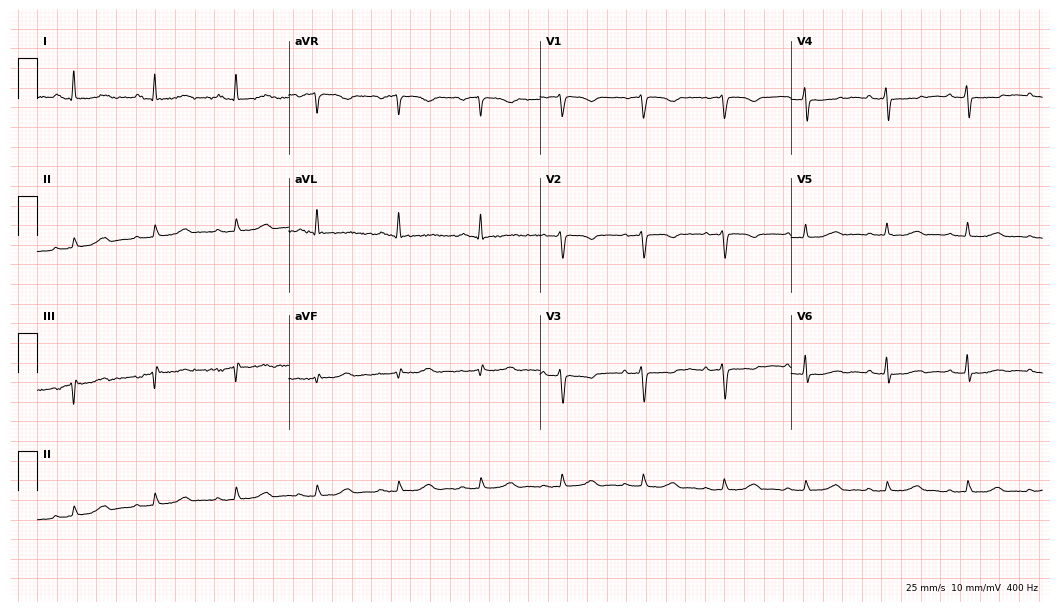
Standard 12-lead ECG recorded from a 76-year-old female. None of these six findings is recorded: first-degree AV block, right bundle branch block, left bundle branch block, sinus bradycardia, atrial fibrillation, sinus tachycardia. Other findings, if any, are not listed.